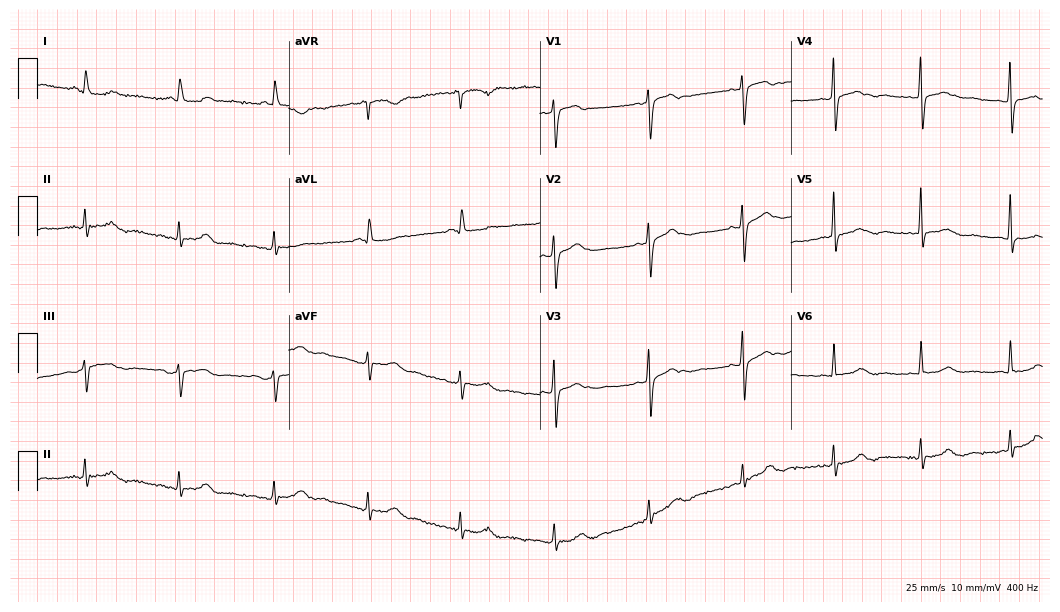
Standard 12-lead ECG recorded from a woman, 68 years old (10.2-second recording at 400 Hz). None of these six findings is recorded: first-degree AV block, right bundle branch block, left bundle branch block, sinus bradycardia, atrial fibrillation, sinus tachycardia.